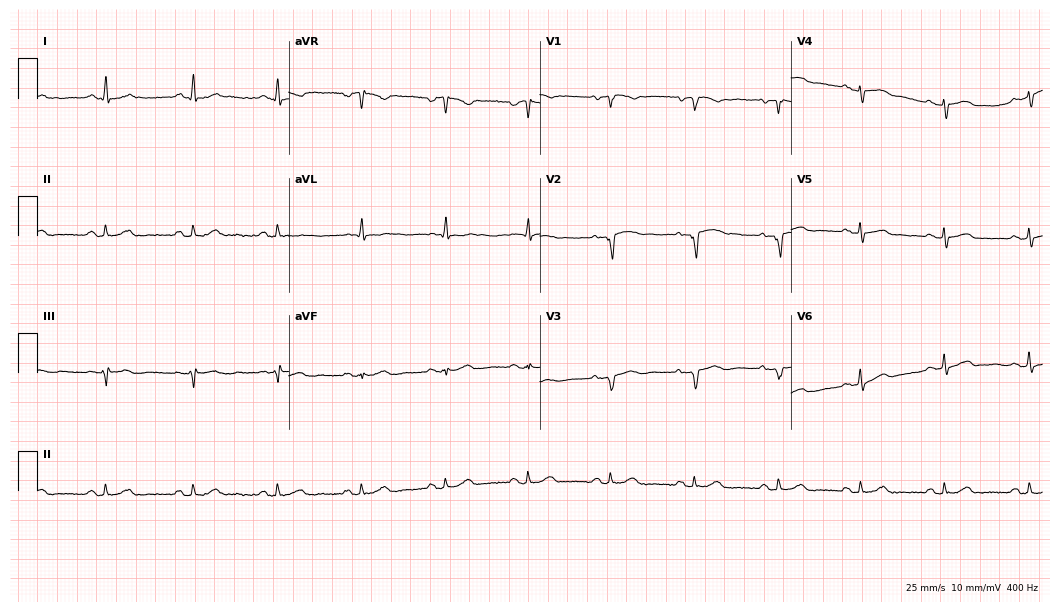
Electrocardiogram, a 62-year-old male. Of the six screened findings (first-degree AV block, right bundle branch block, left bundle branch block, sinus bradycardia, atrial fibrillation, sinus tachycardia), none is recorded.